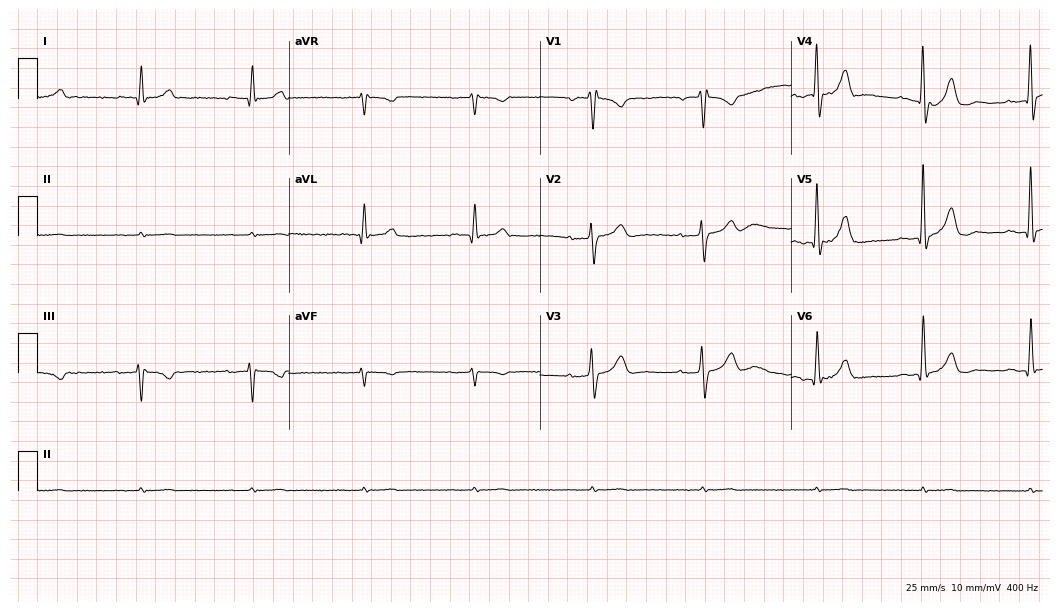
ECG — a male patient, 64 years old. Screened for six findings — first-degree AV block, right bundle branch block, left bundle branch block, sinus bradycardia, atrial fibrillation, sinus tachycardia — none is recorded.